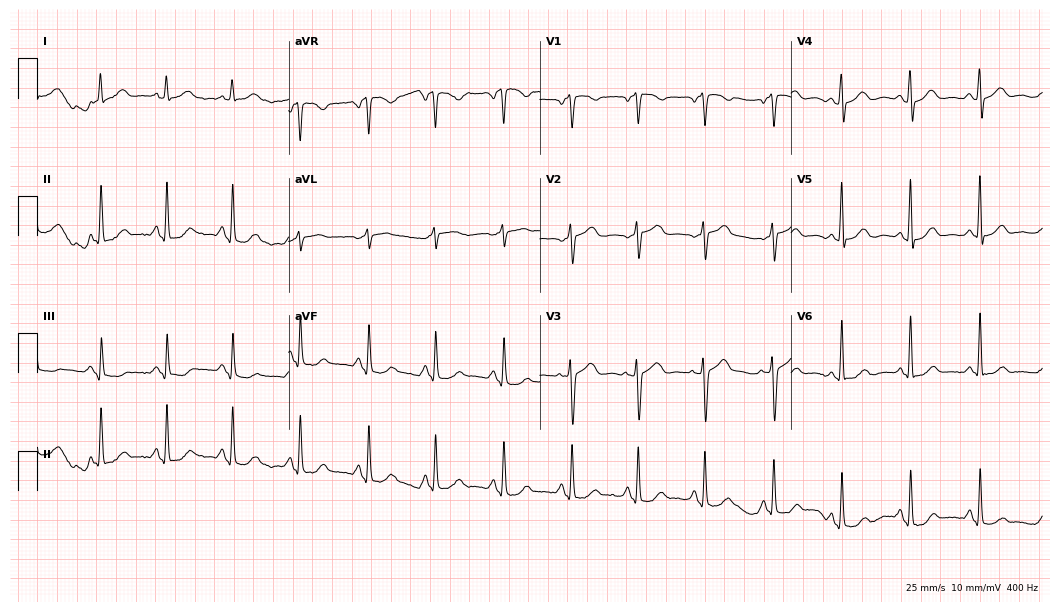
Resting 12-lead electrocardiogram (10.2-second recording at 400 Hz). Patient: a 57-year-old female. Read as a normal ECG.